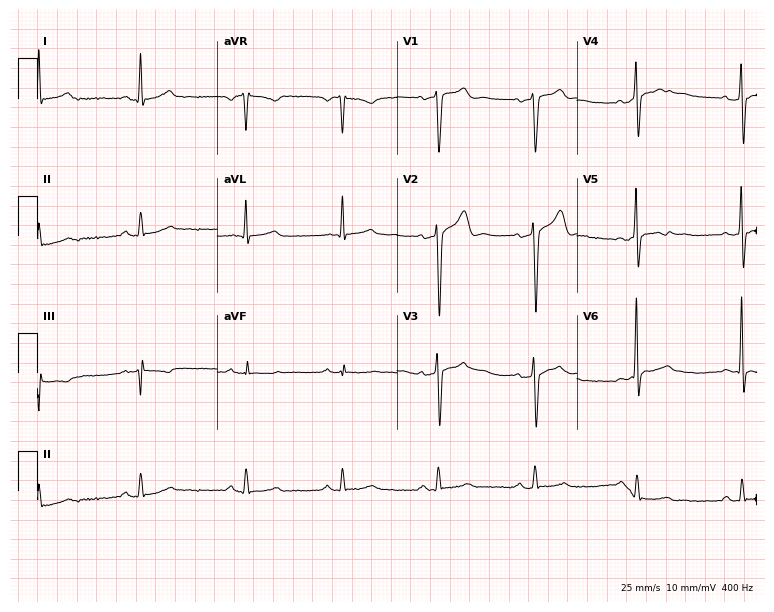
Standard 12-lead ECG recorded from a male patient, 42 years old. None of these six findings is recorded: first-degree AV block, right bundle branch block (RBBB), left bundle branch block (LBBB), sinus bradycardia, atrial fibrillation (AF), sinus tachycardia. Only these six findings were labelled.